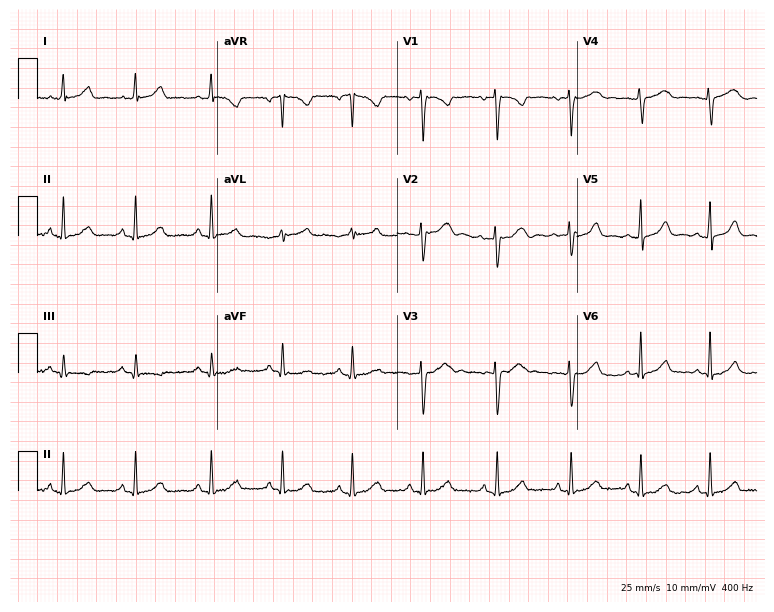
12-lead ECG from a female, 27 years old. Labelled as a normal ECG.